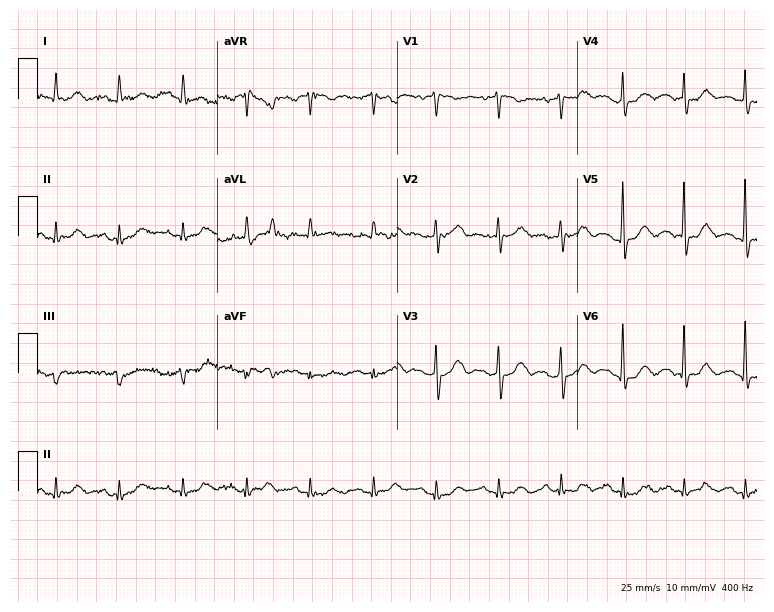
Resting 12-lead electrocardiogram (7.3-second recording at 400 Hz). Patient: a male, 85 years old. Read as a normal ECG.